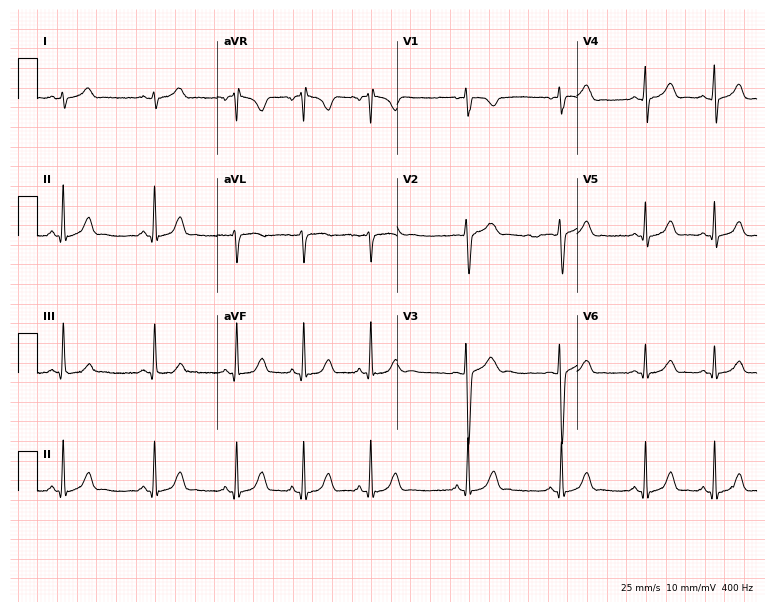
ECG (7.3-second recording at 400 Hz) — a woman, 17 years old. Labelled as a normal ECG.